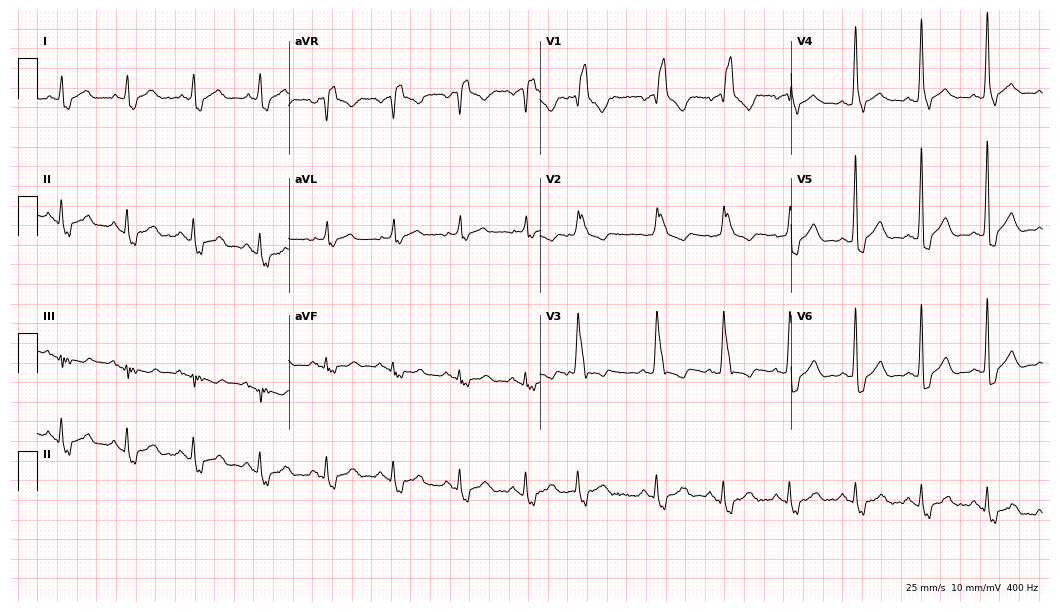
Electrocardiogram (10.2-second recording at 400 Hz), a 71-year-old male patient. Interpretation includes right bundle branch block.